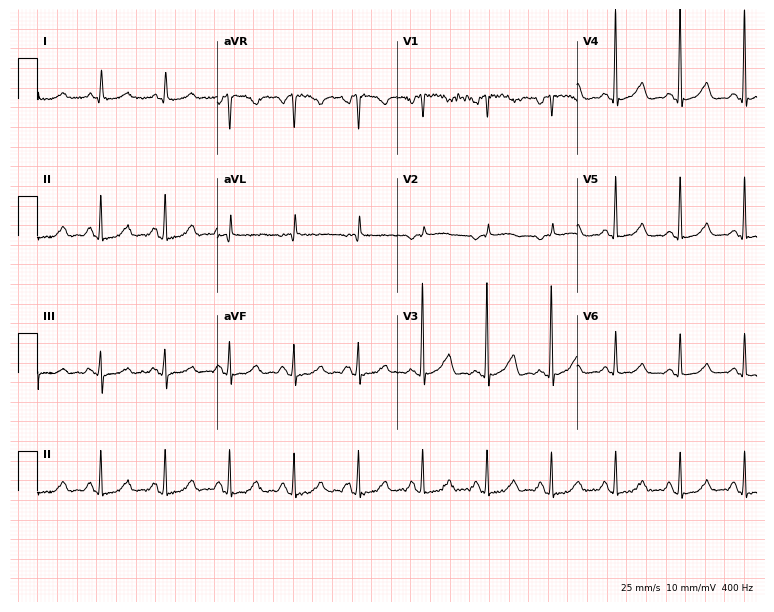
Resting 12-lead electrocardiogram (7.3-second recording at 400 Hz). Patient: a 75-year-old female. Read as a normal ECG.